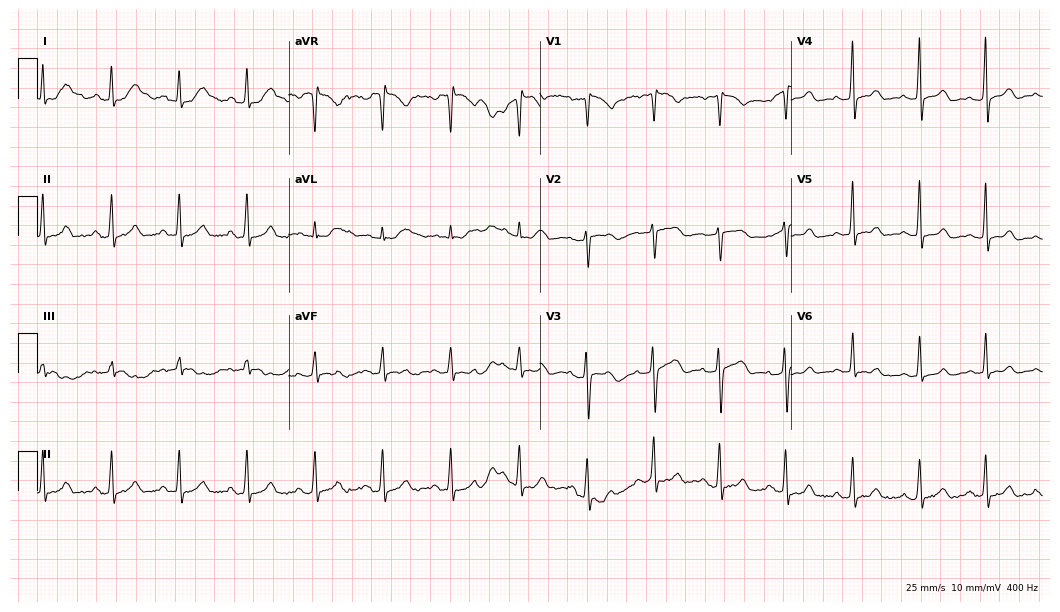
ECG (10.2-second recording at 400 Hz) — a 46-year-old woman. Labelled as a normal ECG.